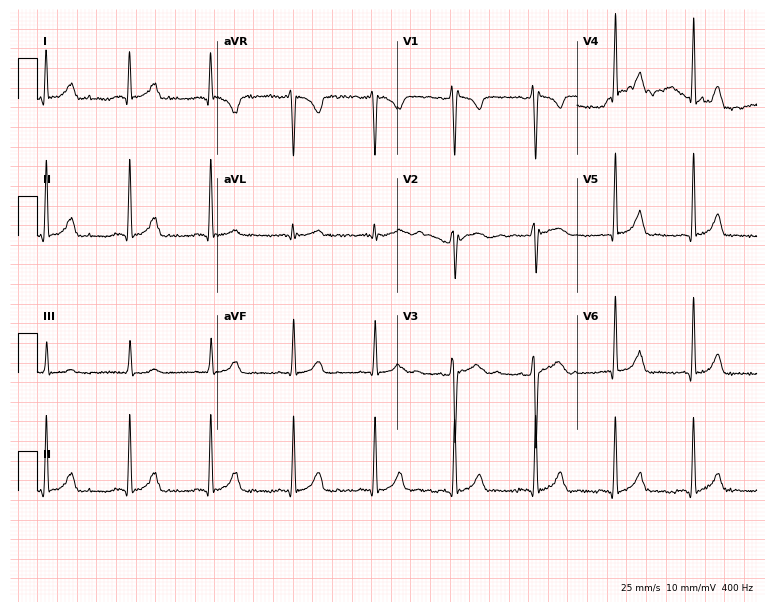
Electrocardiogram, a 25-year-old man. Overall reading on record: normal ECG.